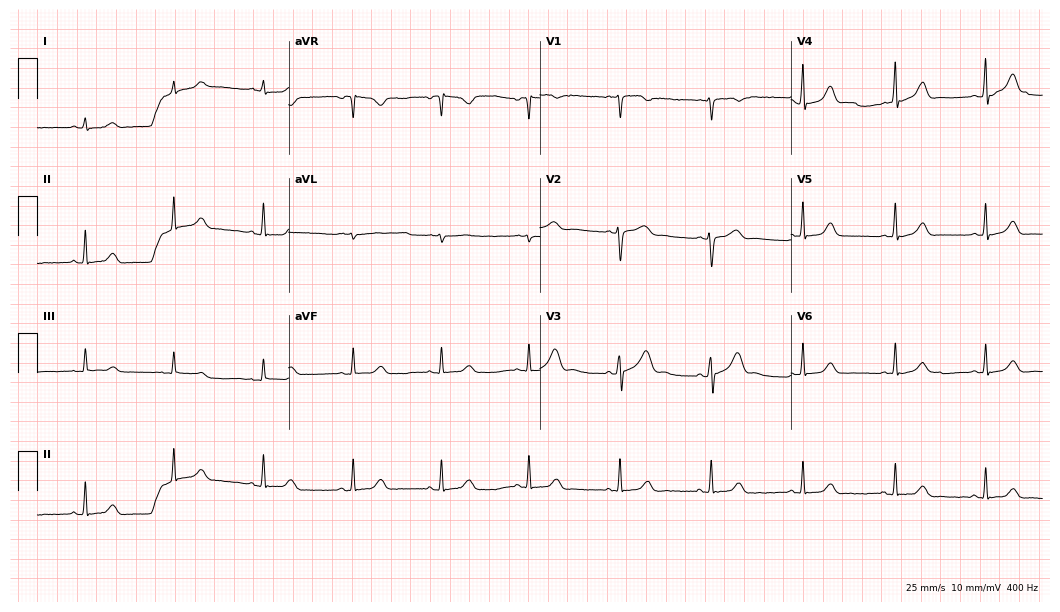
ECG (10.2-second recording at 400 Hz) — a female, 27 years old. Screened for six findings — first-degree AV block, right bundle branch block, left bundle branch block, sinus bradycardia, atrial fibrillation, sinus tachycardia — none is recorded. Findings outside these six are not listed.